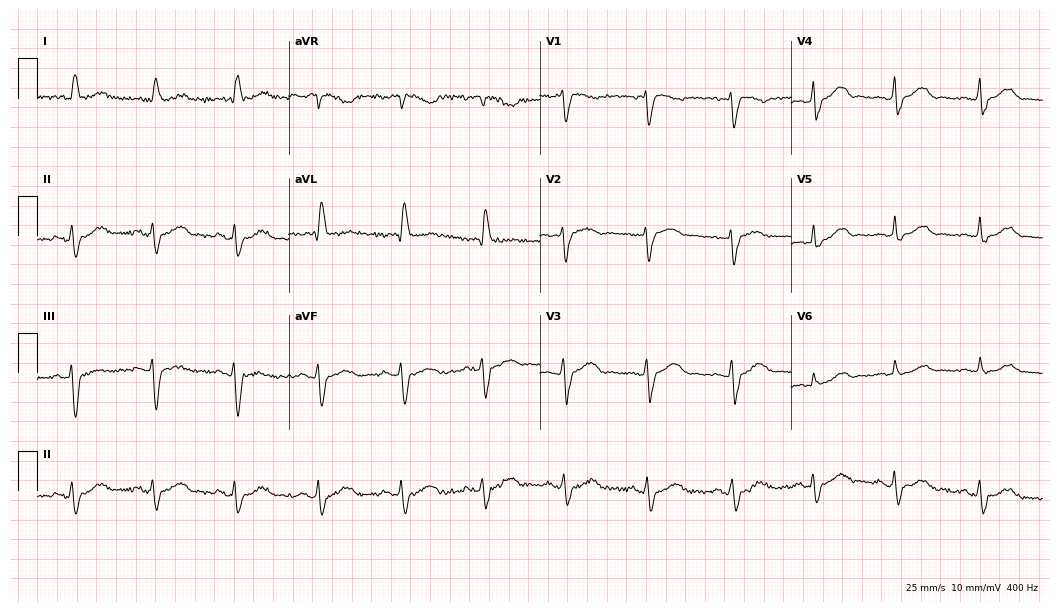
12-lead ECG from a 69-year-old female. No first-degree AV block, right bundle branch block, left bundle branch block, sinus bradycardia, atrial fibrillation or sinus tachycardia recorded for this tracing. Only these six findings were labelled.